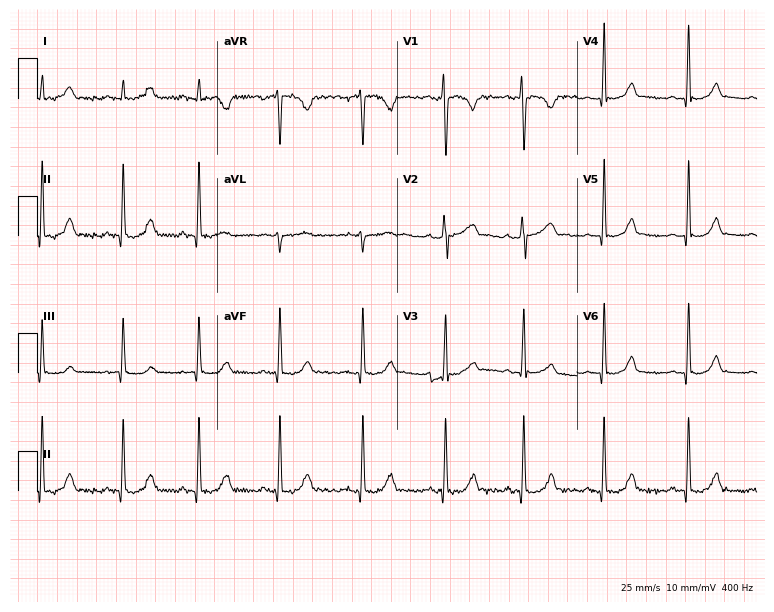
12-lead ECG (7.3-second recording at 400 Hz) from a female patient, 19 years old. Labelled as a normal ECG.